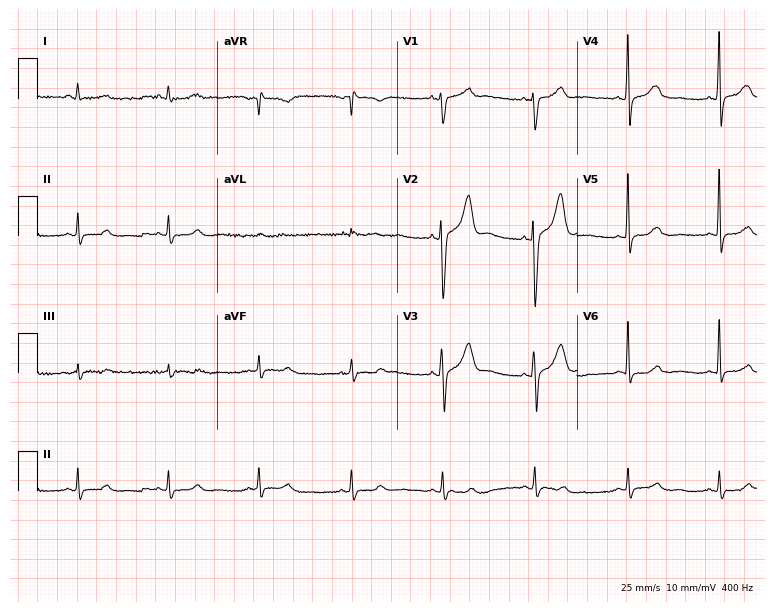
12-lead ECG from a man, 53 years old. No first-degree AV block, right bundle branch block (RBBB), left bundle branch block (LBBB), sinus bradycardia, atrial fibrillation (AF) or sinus tachycardia recorded for this tracing.